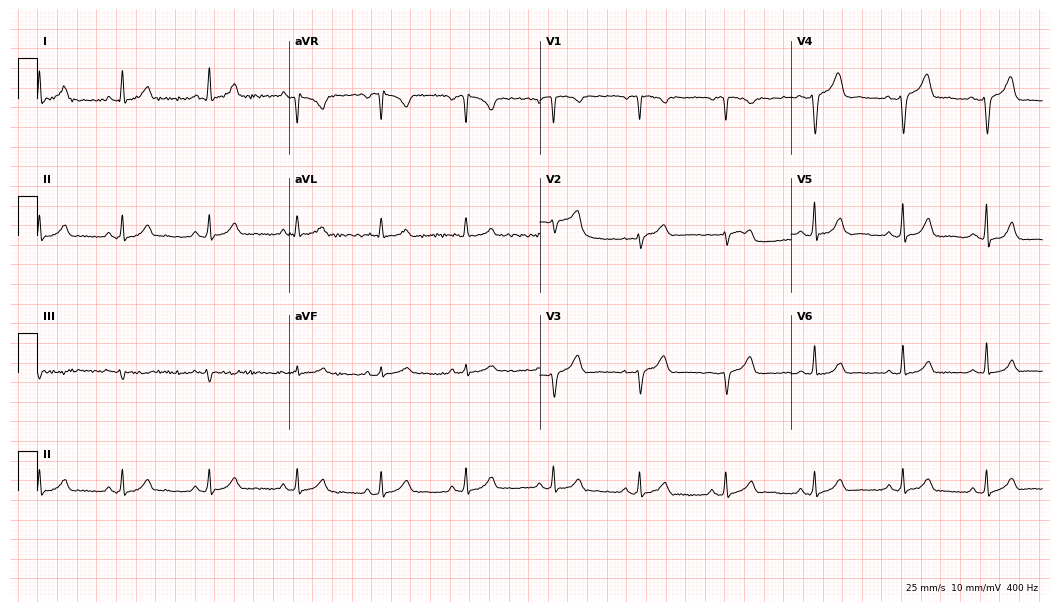
12-lead ECG from a female, 34 years old. Labelled as a normal ECG.